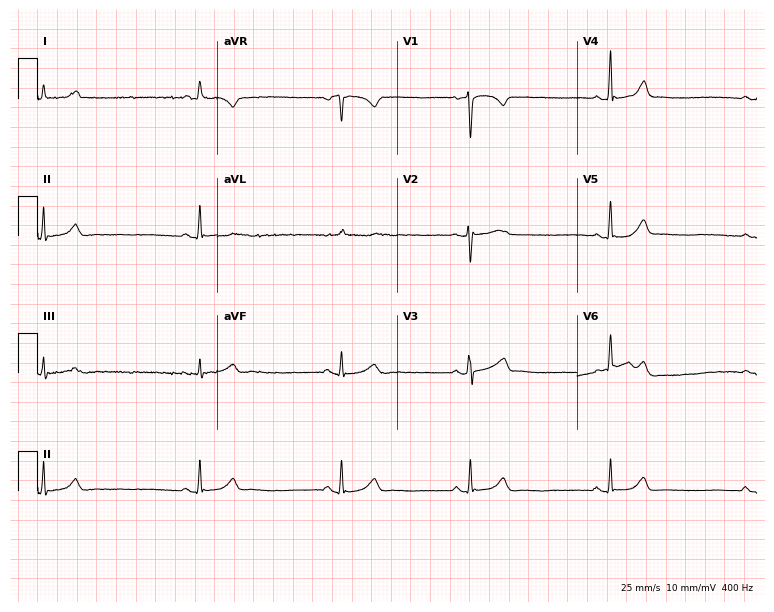
Standard 12-lead ECG recorded from a woman, 29 years old (7.3-second recording at 400 Hz). The tracing shows sinus bradycardia (a sinus rate of 50 beats per minute or less).